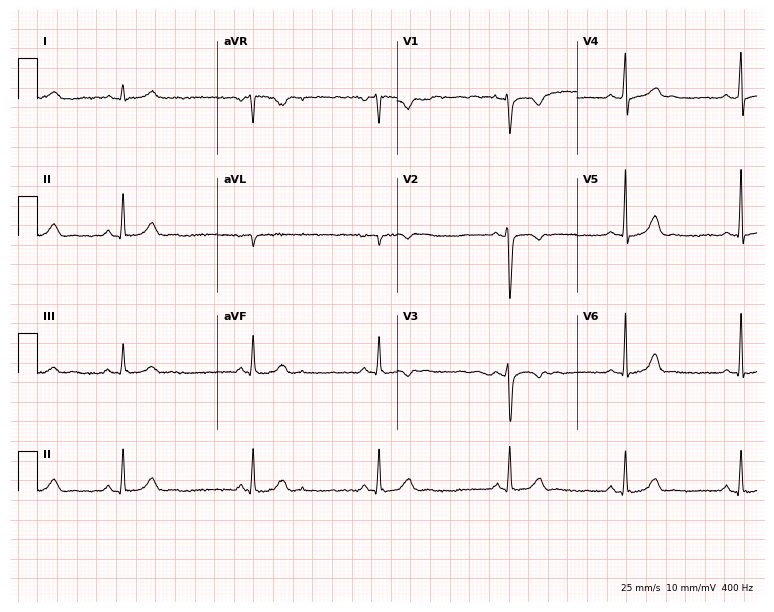
12-lead ECG from a 27-year-old female. Findings include sinus bradycardia (a sinus rate of 50 beats per minute or less).